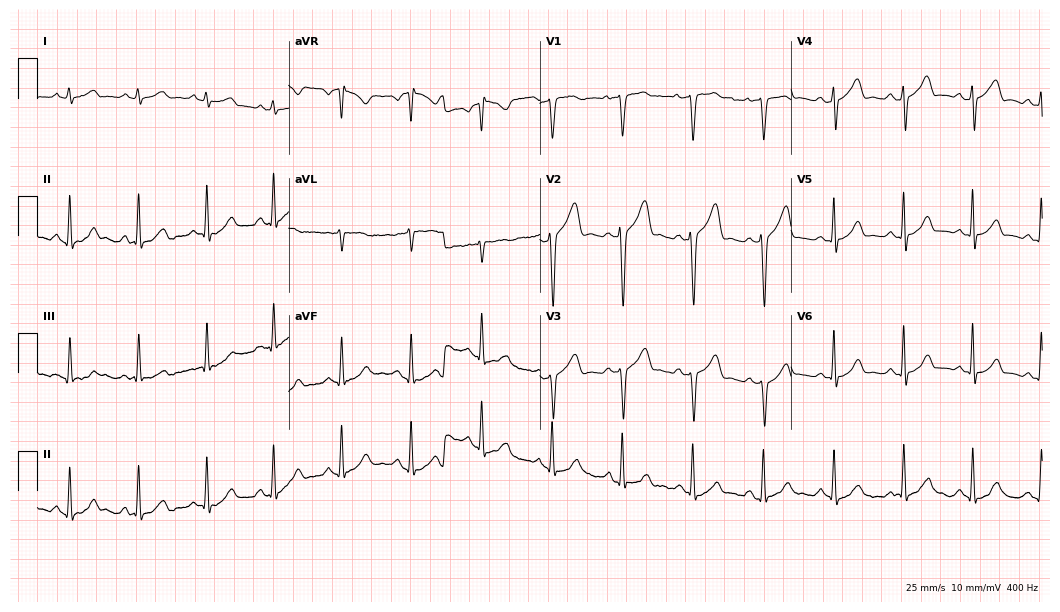
12-lead ECG from a 48-year-old male patient. No first-degree AV block, right bundle branch block, left bundle branch block, sinus bradycardia, atrial fibrillation or sinus tachycardia recorded for this tracing.